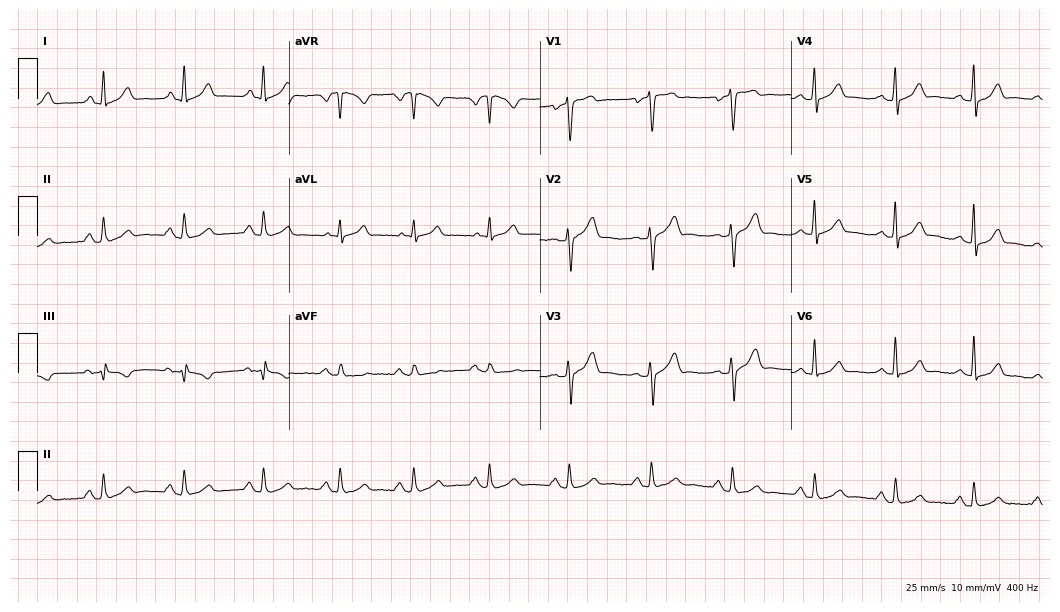
12-lead ECG from a 45-year-old male patient. Recorded interpretation: within normal limits.